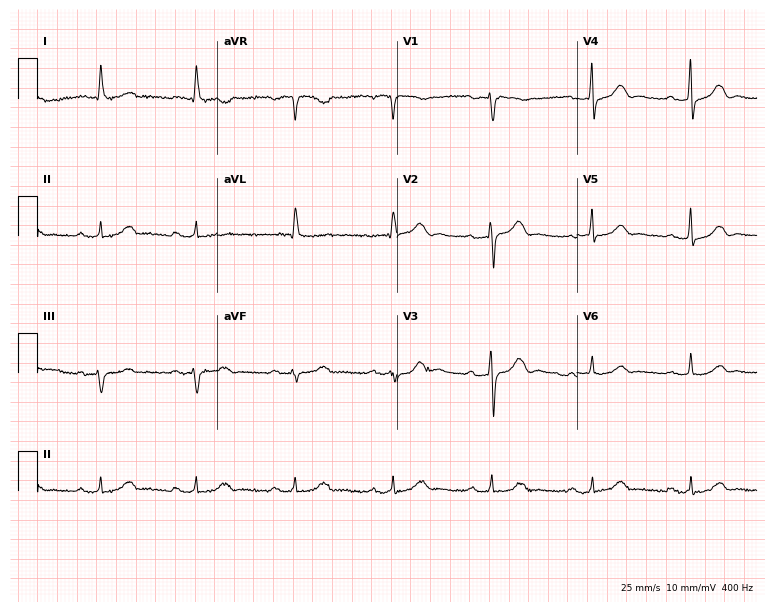
Standard 12-lead ECG recorded from an 85-year-old woman (7.3-second recording at 400 Hz). The tracing shows first-degree AV block.